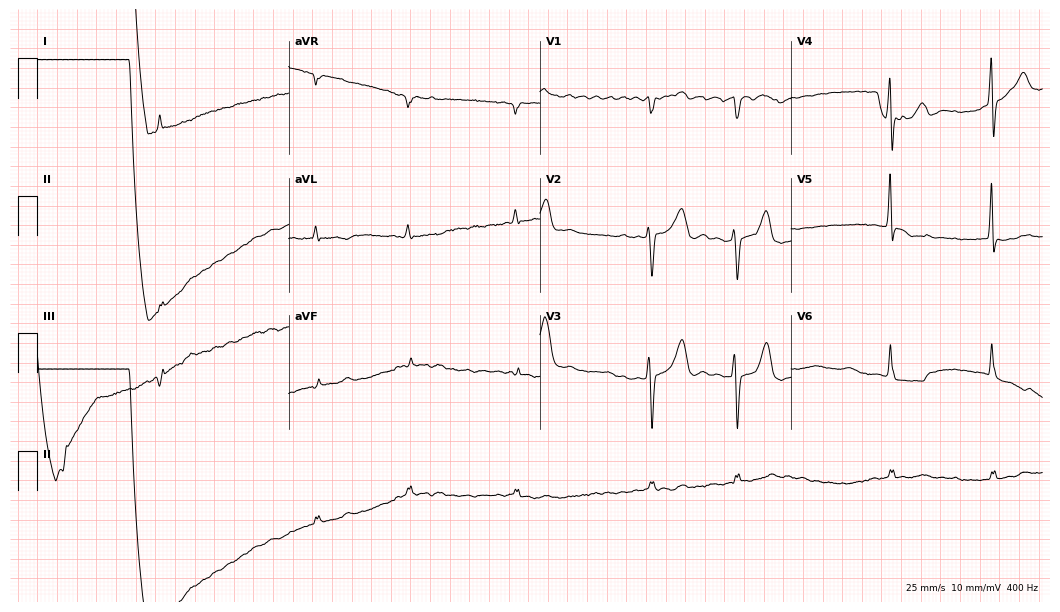
Resting 12-lead electrocardiogram. Patient: a 75-year-old male. None of these six findings is recorded: first-degree AV block, right bundle branch block, left bundle branch block, sinus bradycardia, atrial fibrillation, sinus tachycardia. Findings outside these six are not listed.